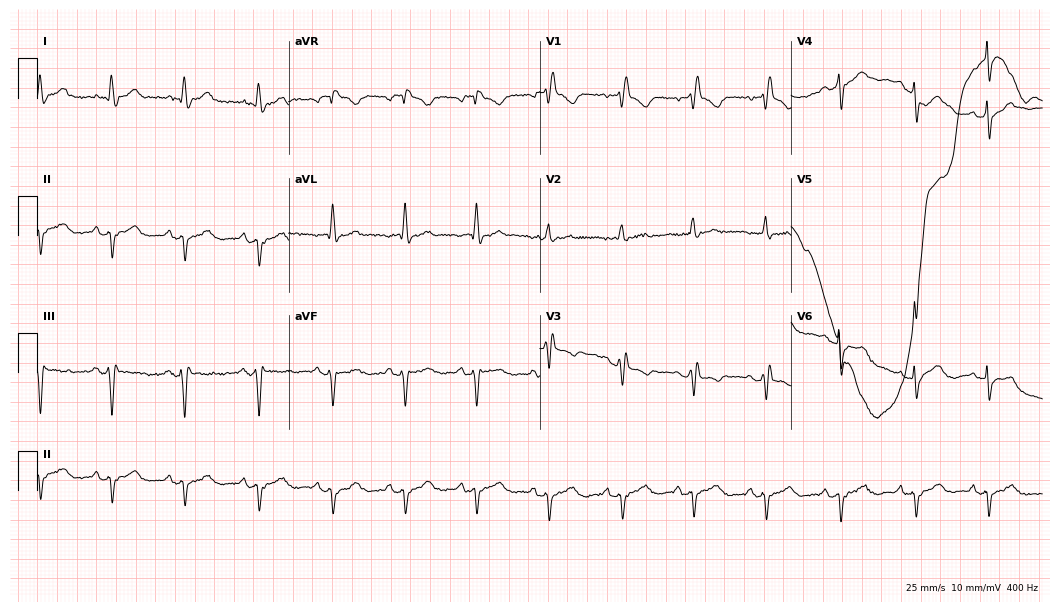
12-lead ECG from a 76-year-old female. Screened for six findings — first-degree AV block, right bundle branch block, left bundle branch block, sinus bradycardia, atrial fibrillation, sinus tachycardia — none is recorded.